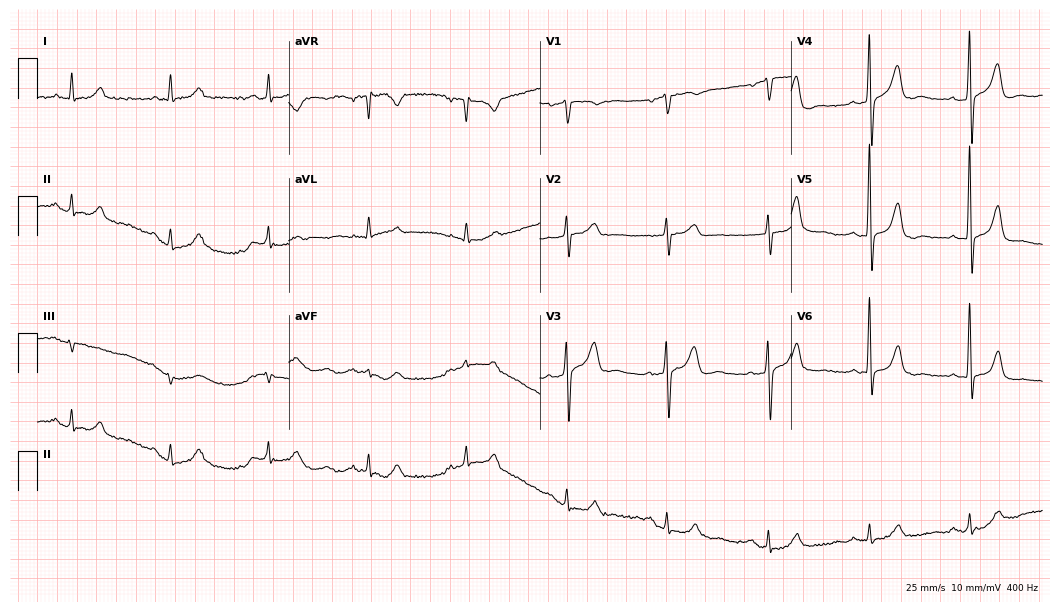
12-lead ECG from a male patient, 70 years old (10.2-second recording at 400 Hz). No first-degree AV block, right bundle branch block, left bundle branch block, sinus bradycardia, atrial fibrillation or sinus tachycardia recorded for this tracing. Only these six findings were labelled.